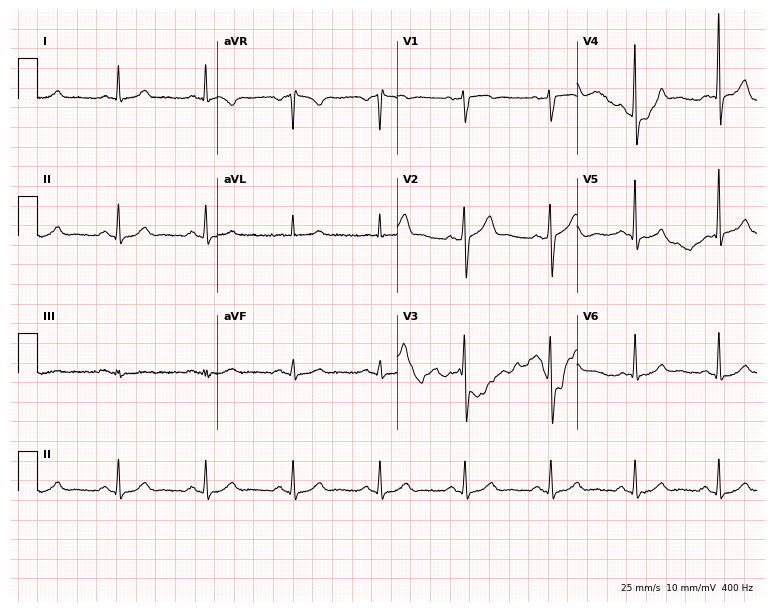
Resting 12-lead electrocardiogram. Patient: a 54-year-old male. None of these six findings is recorded: first-degree AV block, right bundle branch block, left bundle branch block, sinus bradycardia, atrial fibrillation, sinus tachycardia.